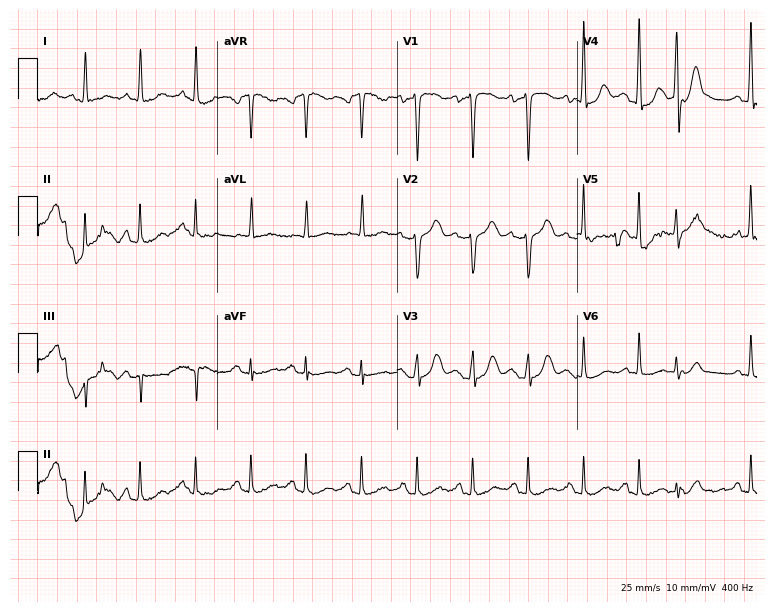
12-lead ECG from a woman, 60 years old. Findings include sinus tachycardia (a sinus rate of 100 beats per minute or more).